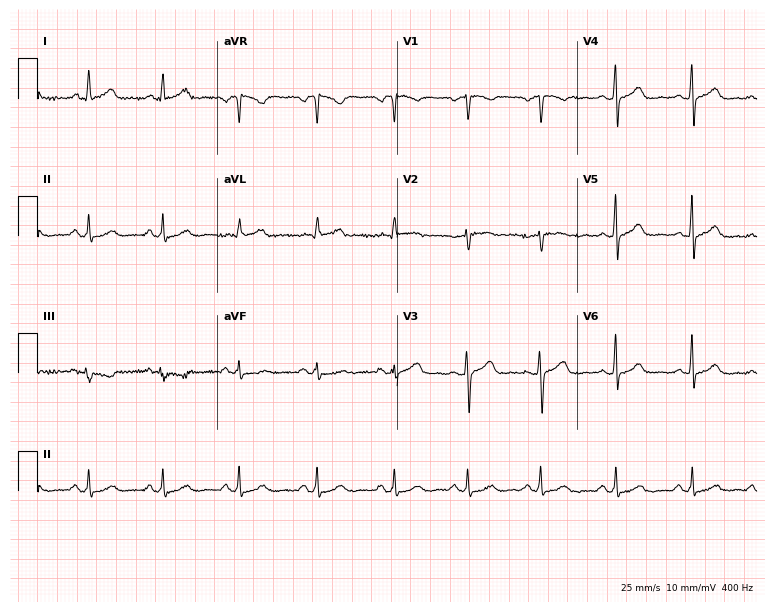
12-lead ECG from a 56-year-old female. Labelled as a normal ECG.